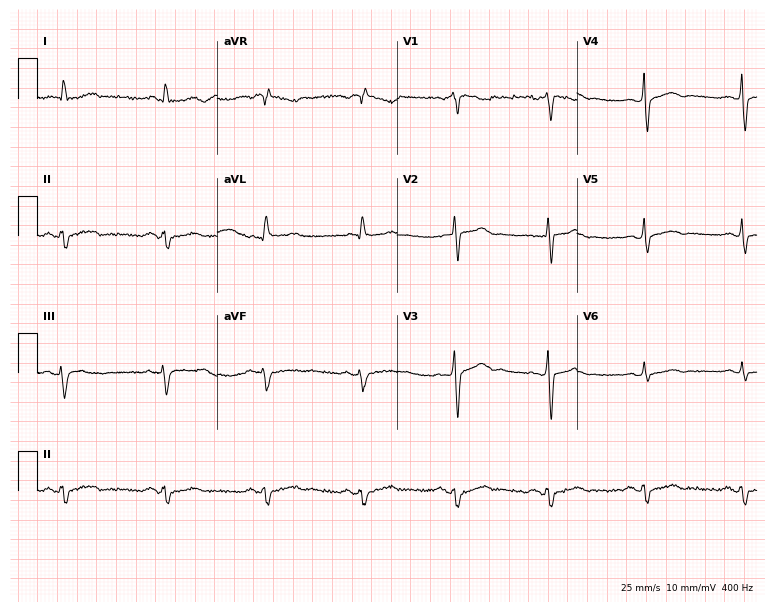
Standard 12-lead ECG recorded from a 69-year-old female patient. None of these six findings is recorded: first-degree AV block, right bundle branch block, left bundle branch block, sinus bradycardia, atrial fibrillation, sinus tachycardia.